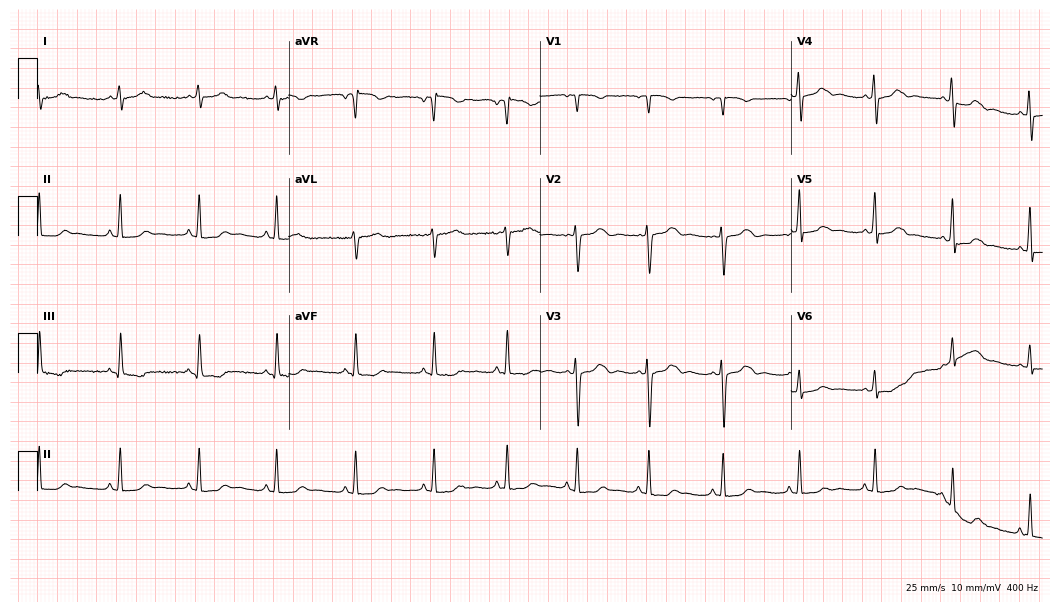
Standard 12-lead ECG recorded from a 25-year-old female patient. None of these six findings is recorded: first-degree AV block, right bundle branch block, left bundle branch block, sinus bradycardia, atrial fibrillation, sinus tachycardia. Only these six findings were labelled.